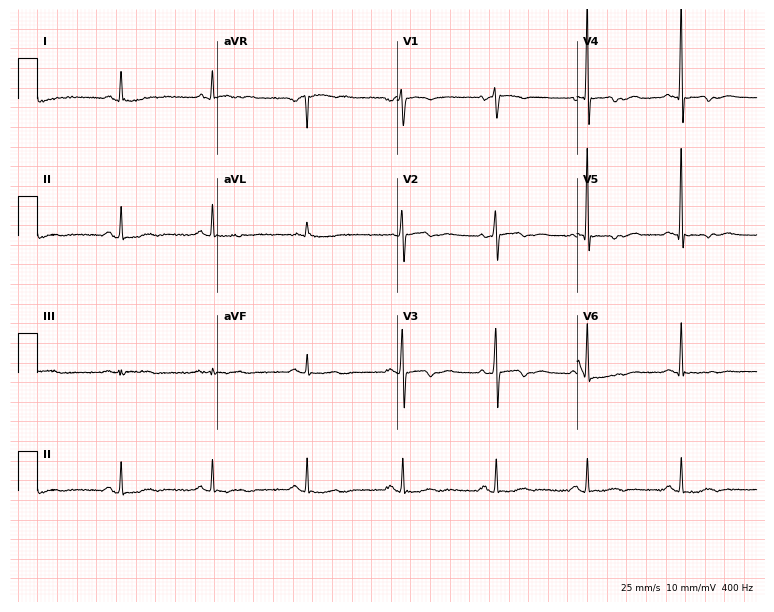
Resting 12-lead electrocardiogram (7.3-second recording at 400 Hz). Patient: a female, 65 years old. Read as a normal ECG.